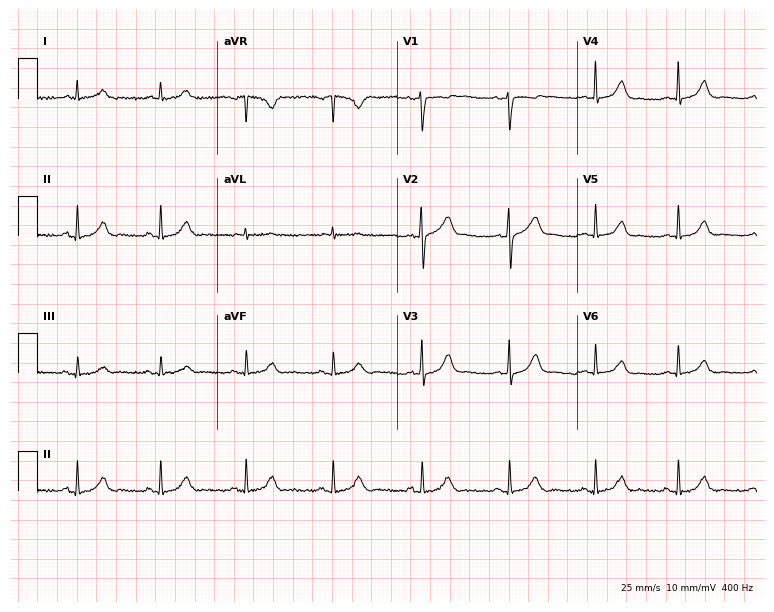
Standard 12-lead ECG recorded from a female patient, 47 years old. Read as a normal ECG.